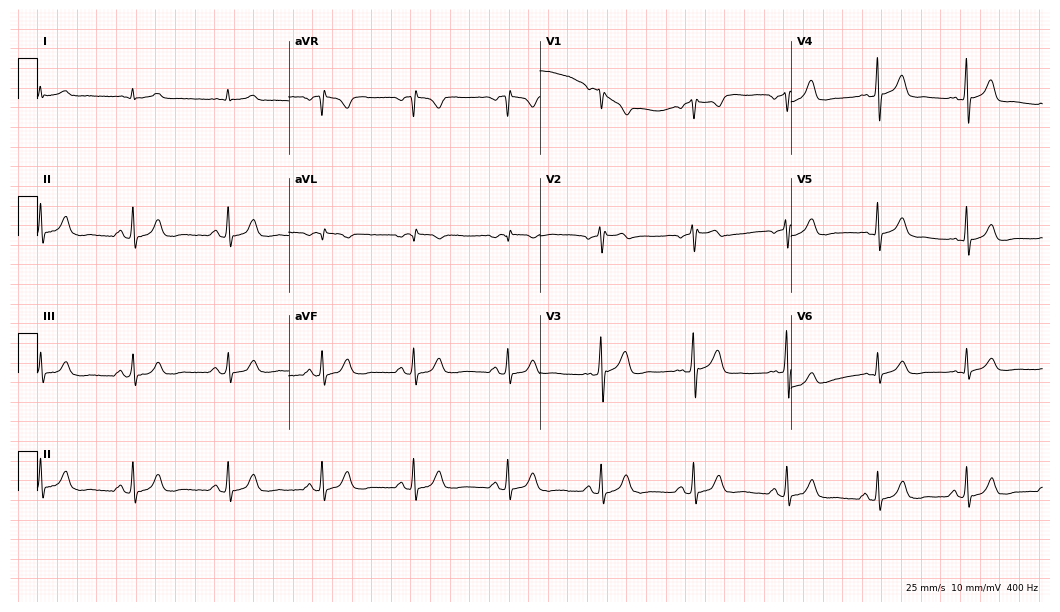
12-lead ECG (10.2-second recording at 400 Hz) from a male patient, 50 years old. Labelled as a normal ECG.